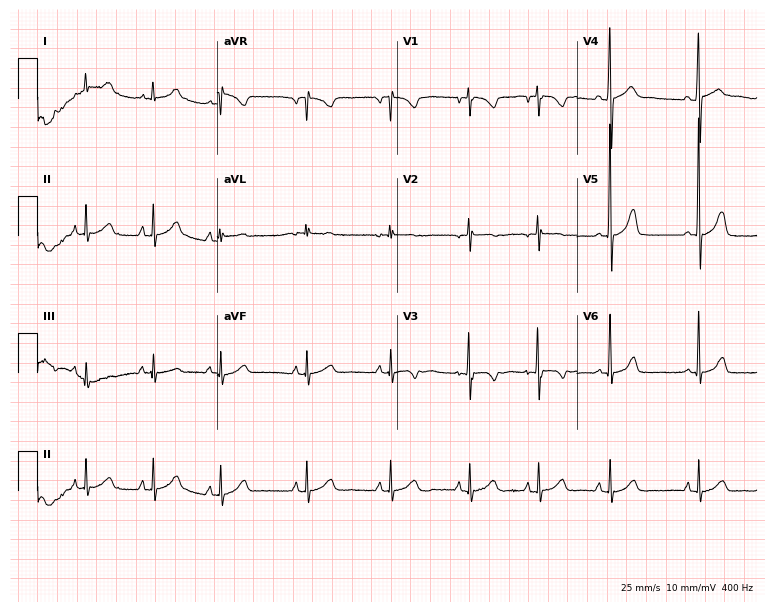
12-lead ECG from a female, 18 years old. Recorded interpretation: within normal limits.